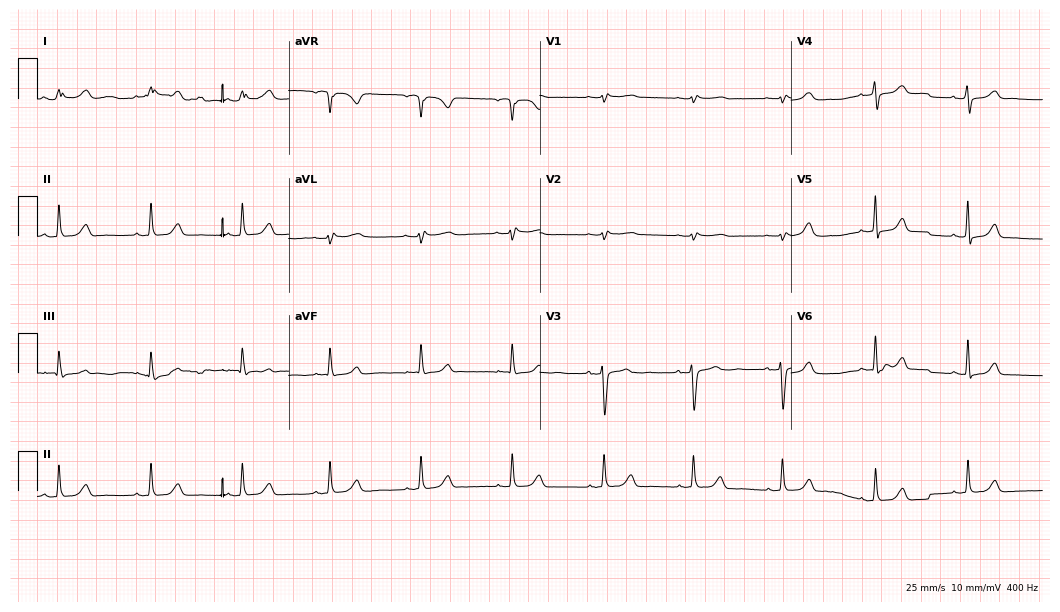
Standard 12-lead ECG recorded from a female, 36 years old (10.2-second recording at 400 Hz). Read as a normal ECG.